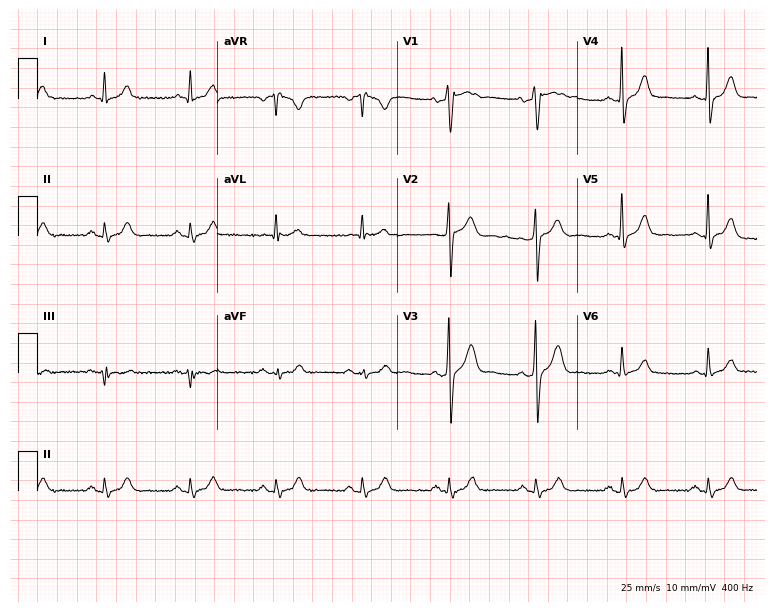
Resting 12-lead electrocardiogram. Patient: a 60-year-old male. Read as a normal ECG.